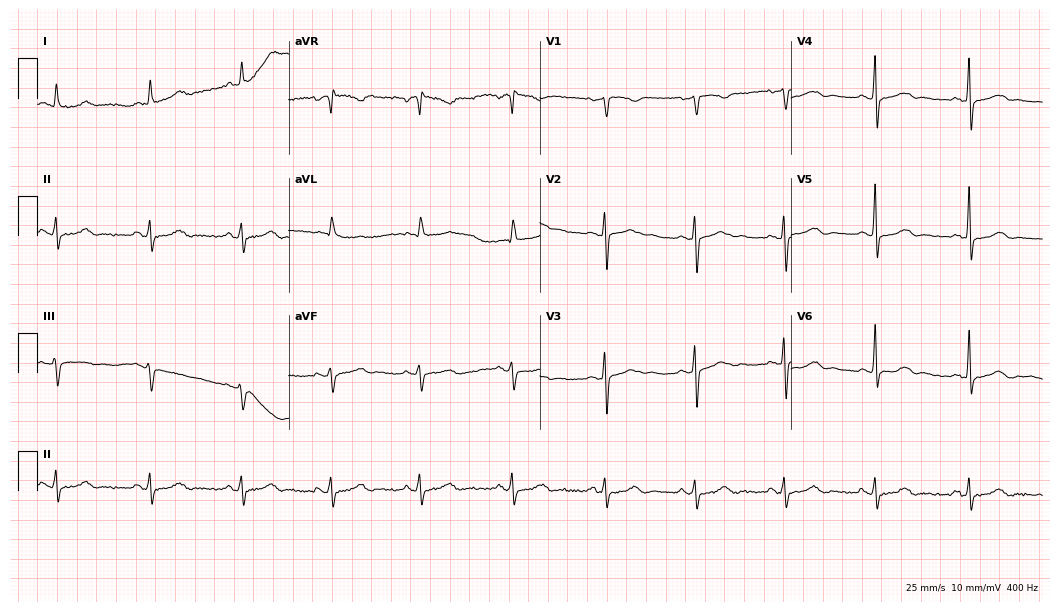
12-lead ECG from a woman, 56 years old. Screened for six findings — first-degree AV block, right bundle branch block (RBBB), left bundle branch block (LBBB), sinus bradycardia, atrial fibrillation (AF), sinus tachycardia — none is recorded.